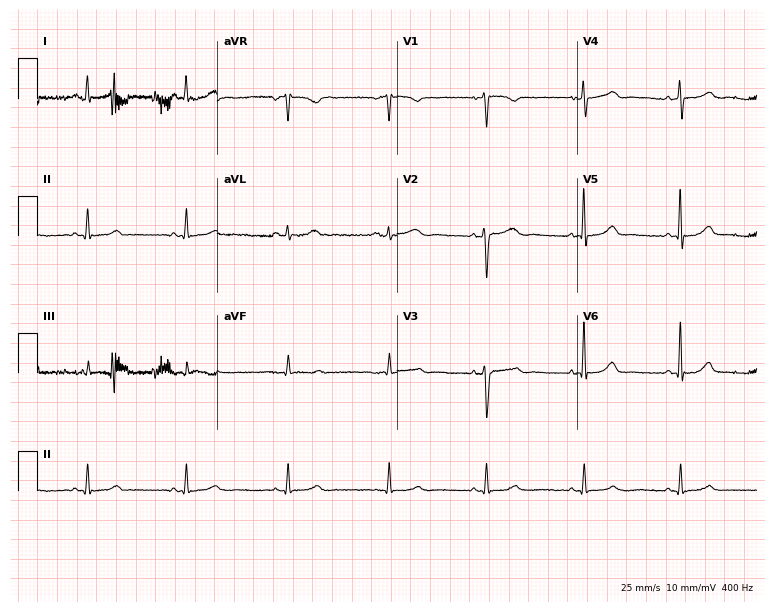
12-lead ECG from a female, 49 years old. Labelled as a normal ECG.